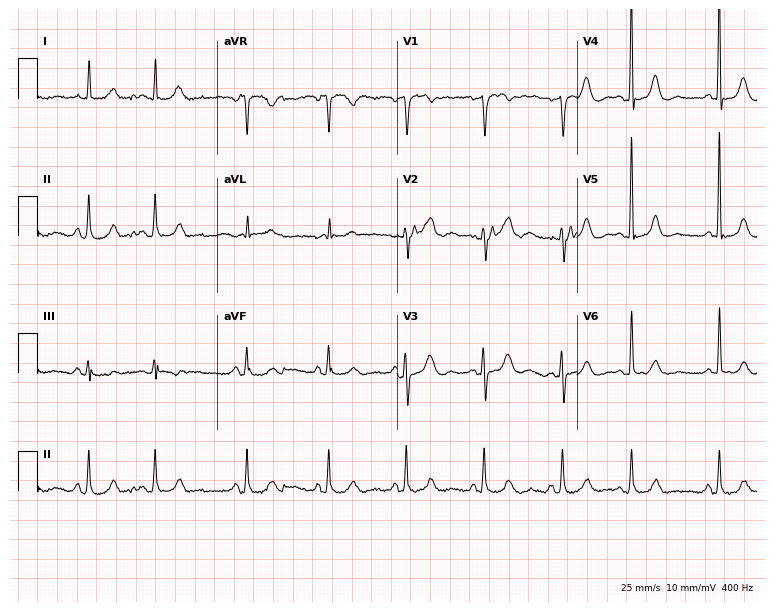
Resting 12-lead electrocardiogram (7.3-second recording at 400 Hz). Patient: a woman, 72 years old. Read as a normal ECG.